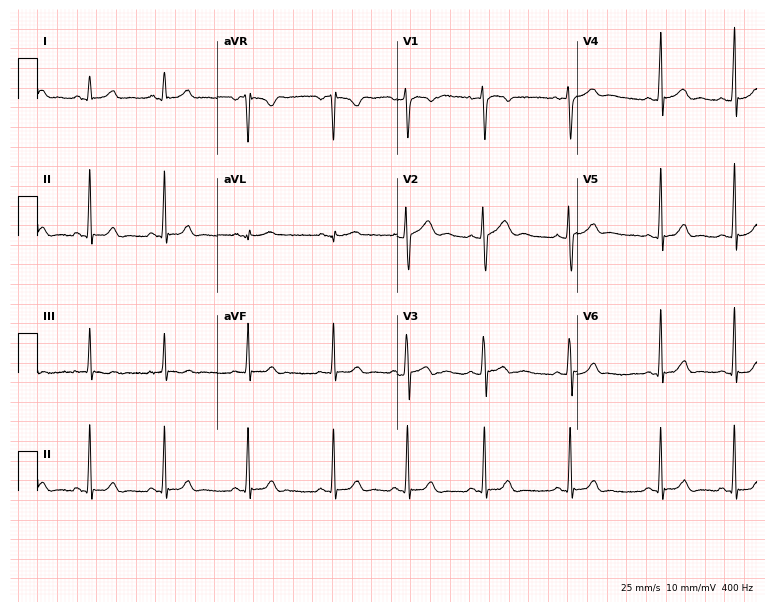
12-lead ECG from a female patient, 23 years old. Screened for six findings — first-degree AV block, right bundle branch block (RBBB), left bundle branch block (LBBB), sinus bradycardia, atrial fibrillation (AF), sinus tachycardia — none is recorded.